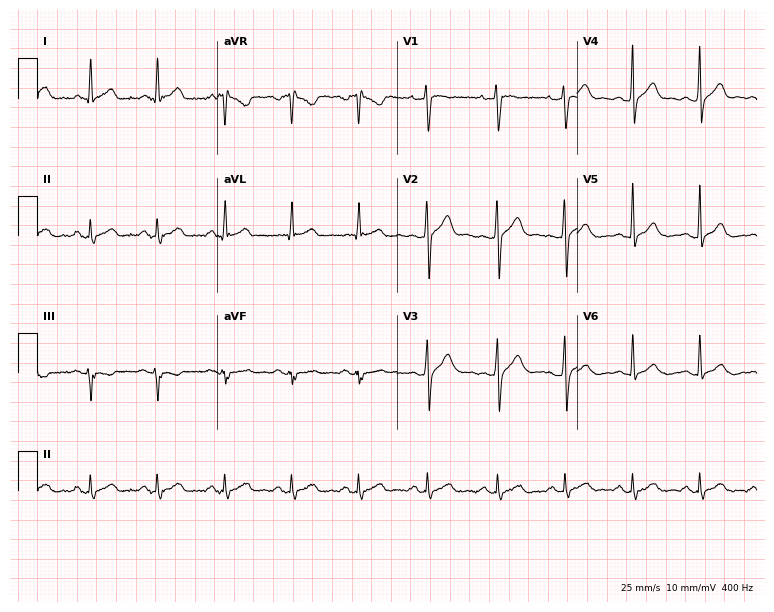
Standard 12-lead ECG recorded from a man, 40 years old. Read as a normal ECG.